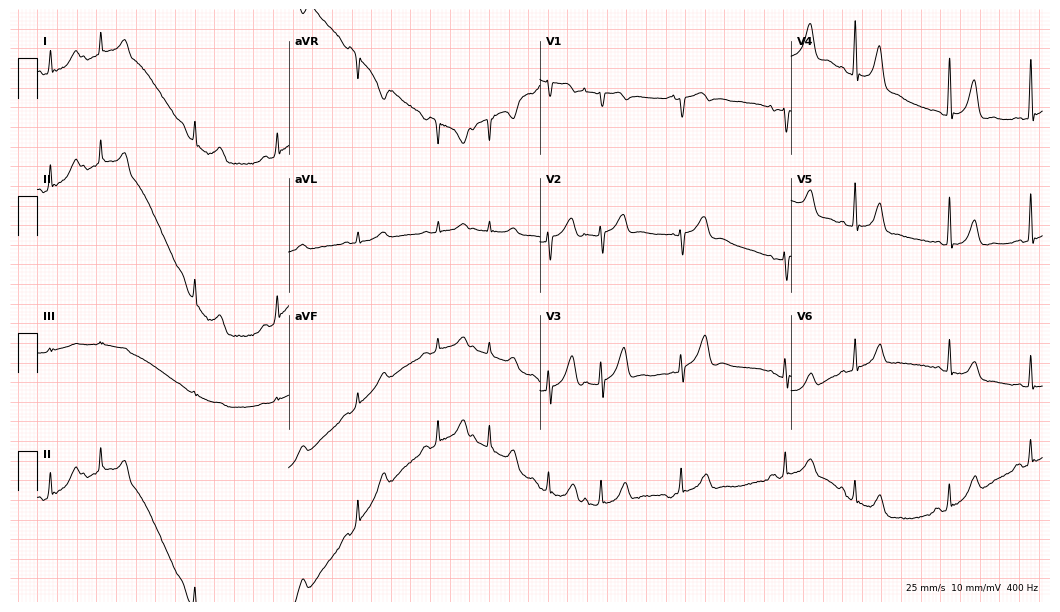
12-lead ECG from a female, 76 years old. Screened for six findings — first-degree AV block, right bundle branch block, left bundle branch block, sinus bradycardia, atrial fibrillation, sinus tachycardia — none is recorded. Only these six findings were labelled.